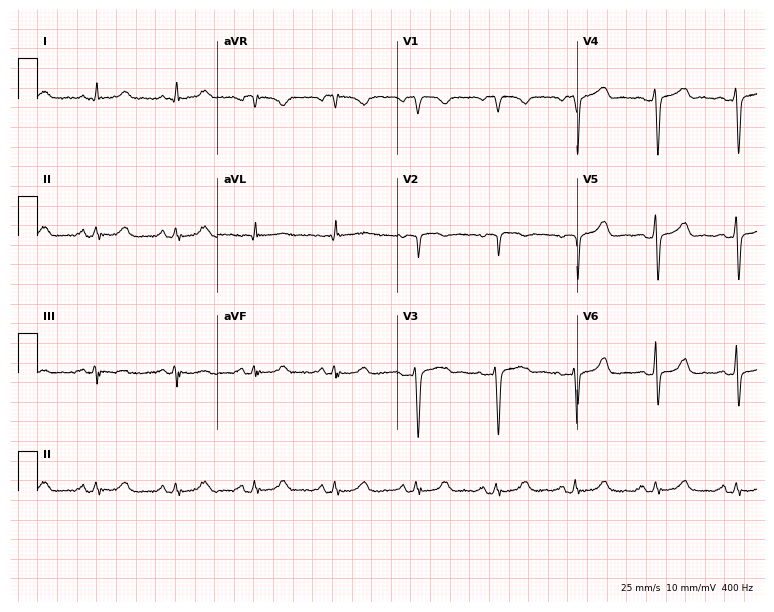
12-lead ECG from a female patient, 49 years old (7.3-second recording at 400 Hz). No first-degree AV block, right bundle branch block (RBBB), left bundle branch block (LBBB), sinus bradycardia, atrial fibrillation (AF) or sinus tachycardia recorded for this tracing. Only these six findings were labelled.